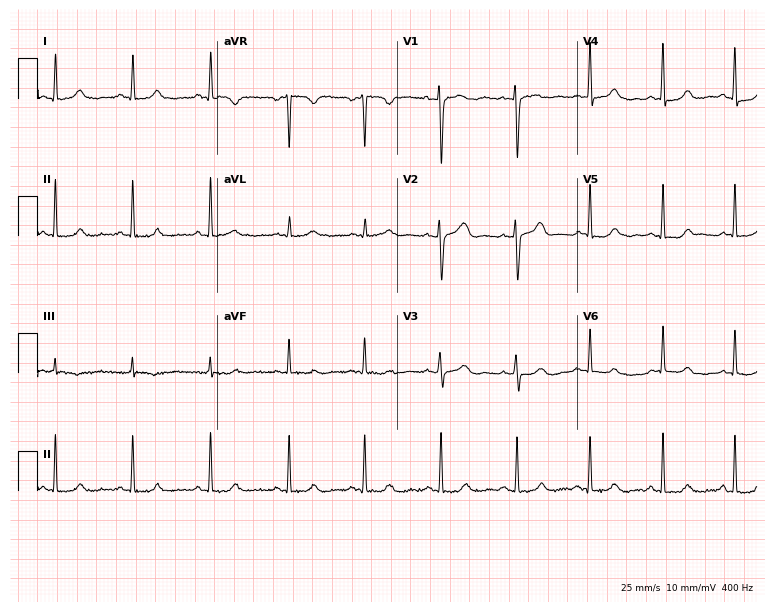
Electrocardiogram, a female, 44 years old. Of the six screened findings (first-degree AV block, right bundle branch block, left bundle branch block, sinus bradycardia, atrial fibrillation, sinus tachycardia), none is recorded. Other findings, if any, are not listed.